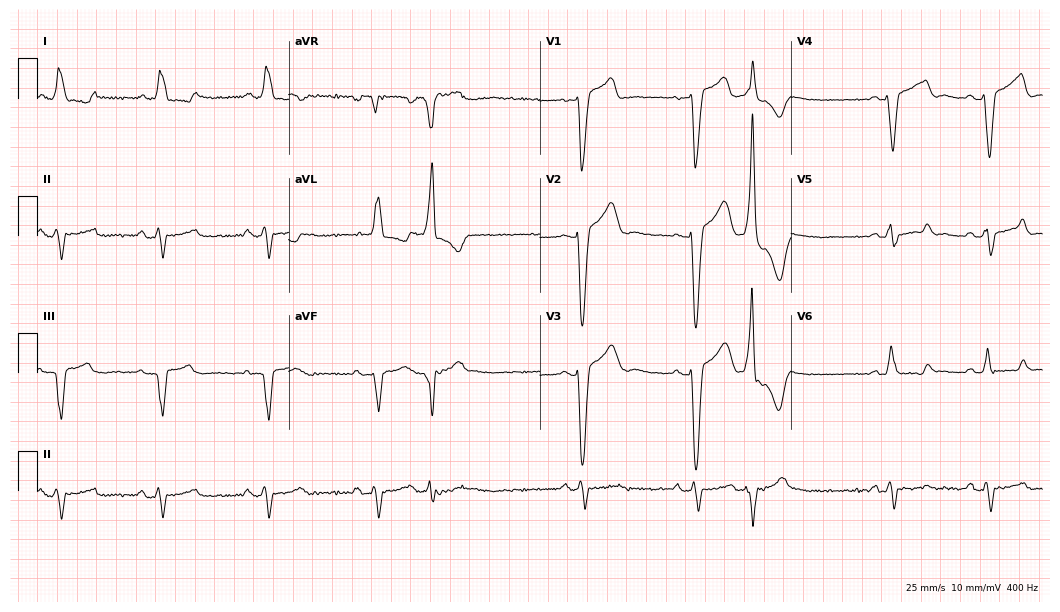
Resting 12-lead electrocardiogram (10.2-second recording at 400 Hz). Patient: a 69-year-old woman. The tracing shows left bundle branch block.